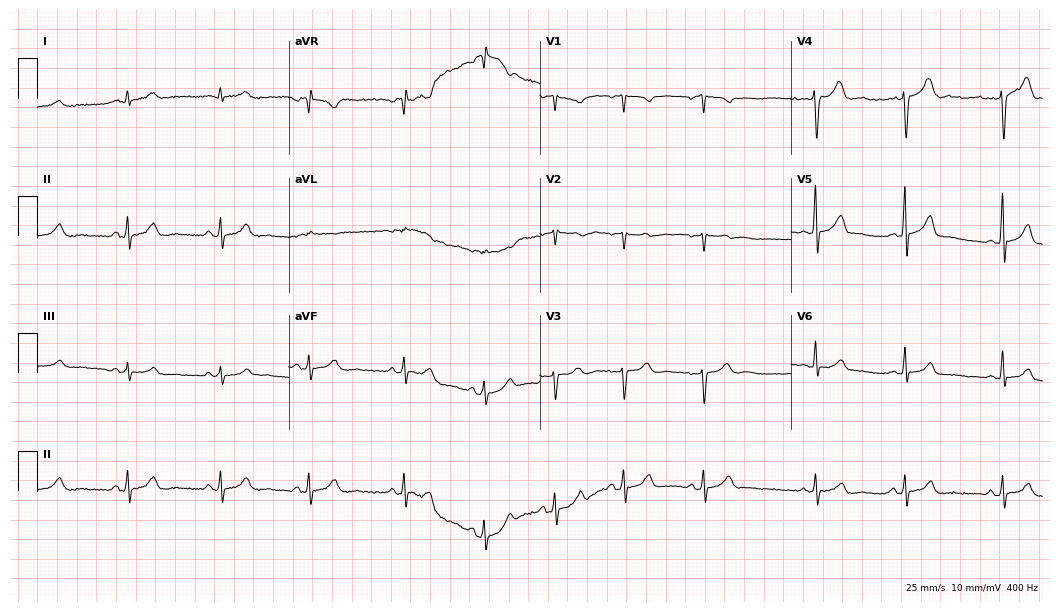
Standard 12-lead ECG recorded from a male, 27 years old (10.2-second recording at 400 Hz). Read as a normal ECG.